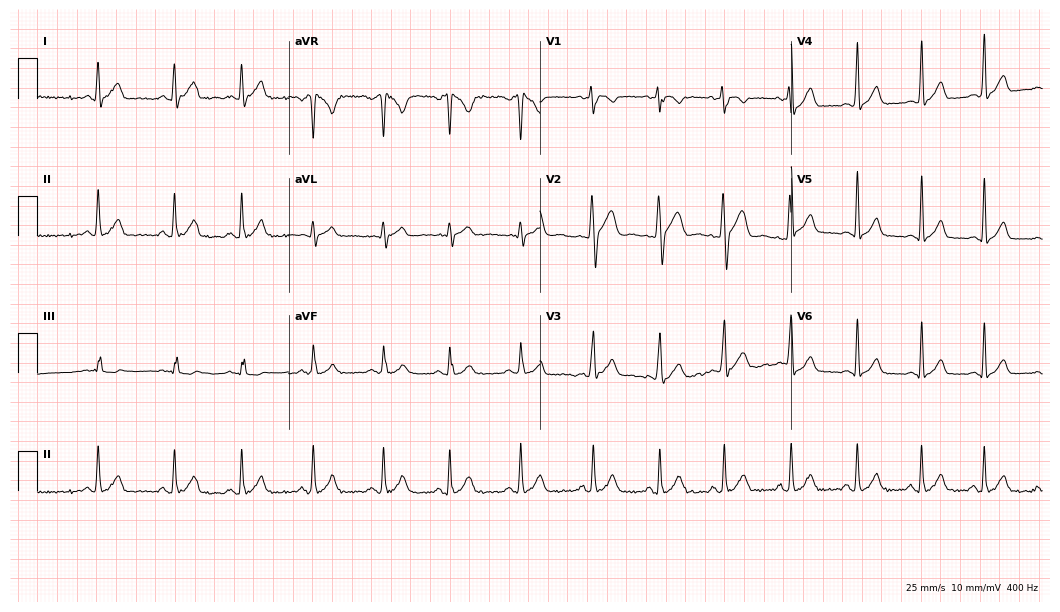
12-lead ECG (10.2-second recording at 400 Hz) from a male patient, 20 years old. Labelled as a normal ECG.